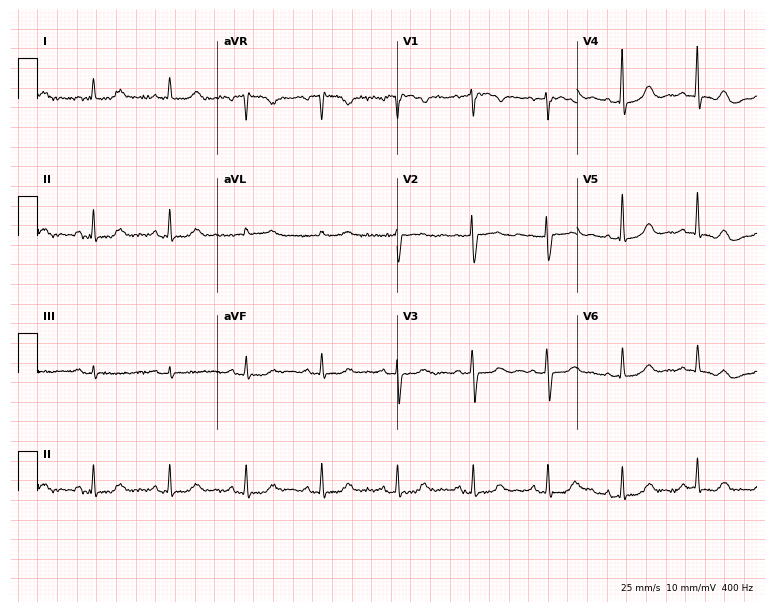
12-lead ECG from an 82-year-old female. Labelled as a normal ECG.